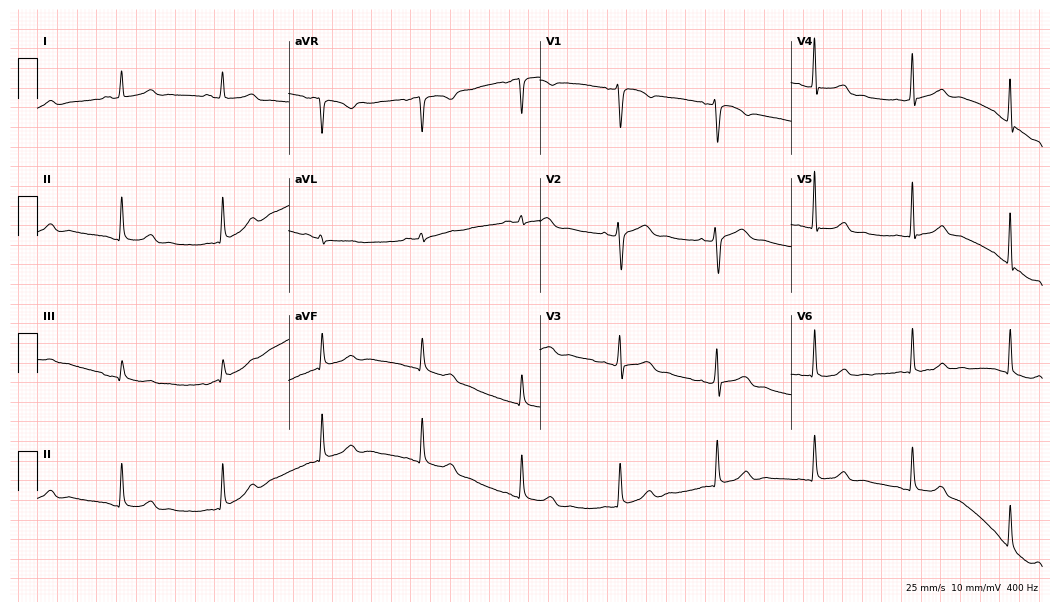
Resting 12-lead electrocardiogram (10.2-second recording at 400 Hz). Patient: a 55-year-old woman. Read as a normal ECG.